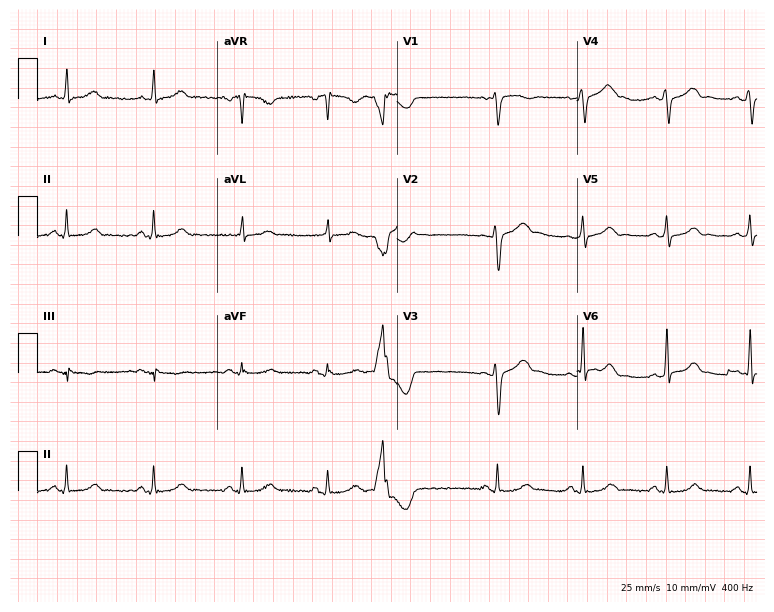
Resting 12-lead electrocardiogram. Patient: a 35-year-old female. None of these six findings is recorded: first-degree AV block, right bundle branch block, left bundle branch block, sinus bradycardia, atrial fibrillation, sinus tachycardia.